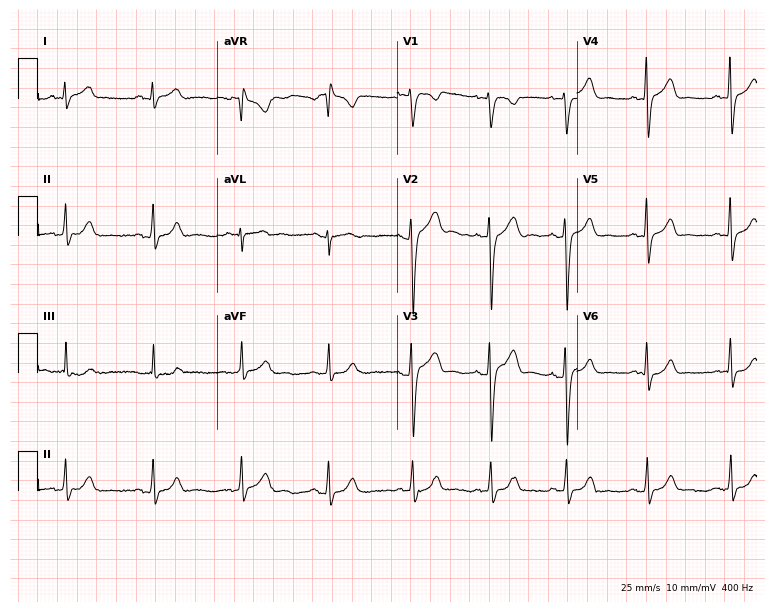
12-lead ECG (7.3-second recording at 400 Hz) from a female patient, 29 years old. Screened for six findings — first-degree AV block, right bundle branch block, left bundle branch block, sinus bradycardia, atrial fibrillation, sinus tachycardia — none is recorded.